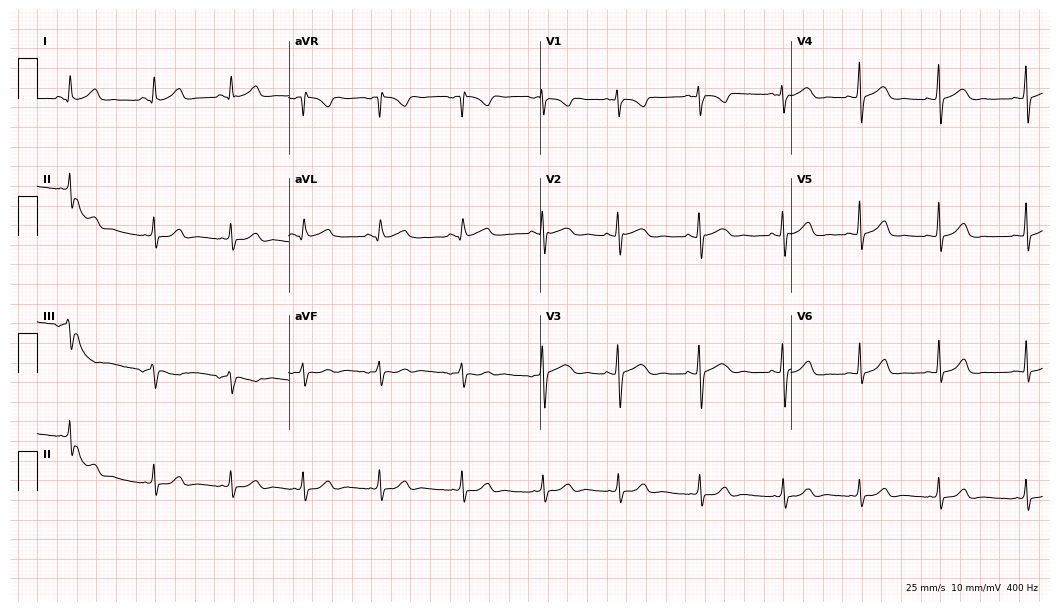
12-lead ECG from a woman, 17 years old. Screened for six findings — first-degree AV block, right bundle branch block, left bundle branch block, sinus bradycardia, atrial fibrillation, sinus tachycardia — none is recorded. Only these six findings were labelled.